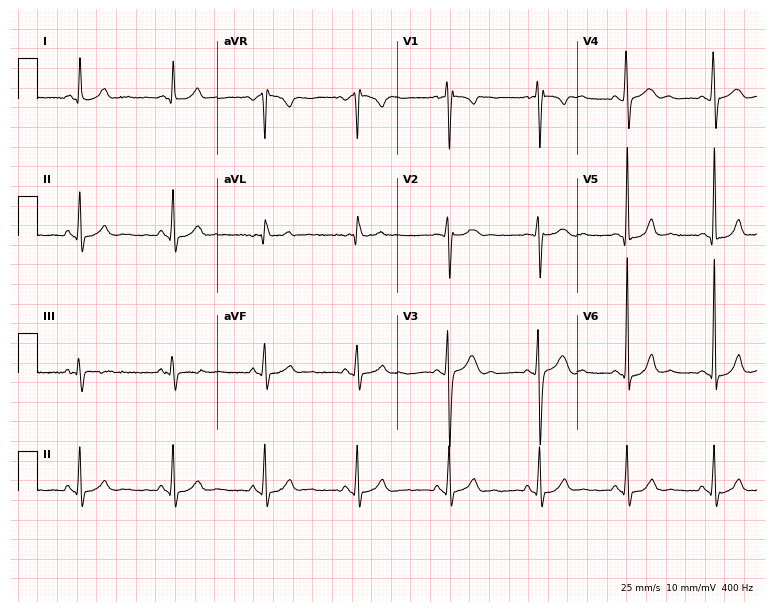
12-lead ECG from a 17-year-old male. Recorded interpretation: within normal limits.